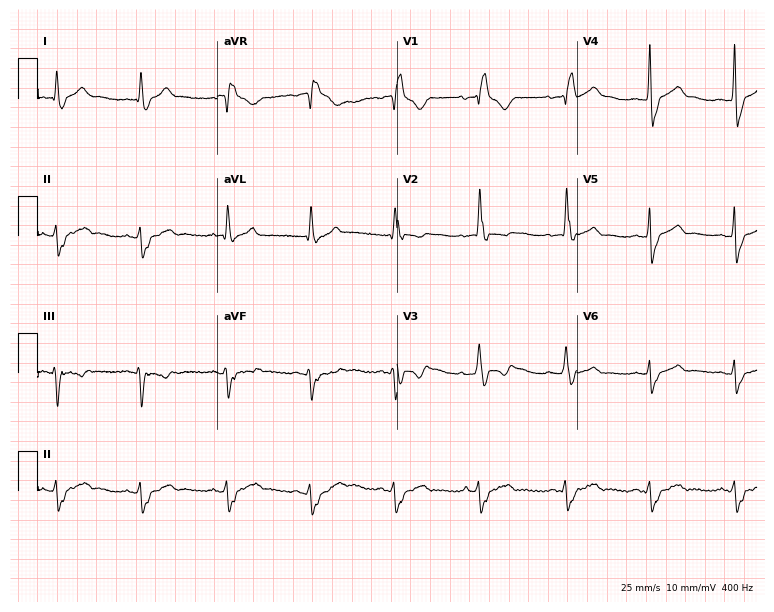
Standard 12-lead ECG recorded from a 40-year-old male patient (7.3-second recording at 400 Hz). The tracing shows right bundle branch block (RBBB).